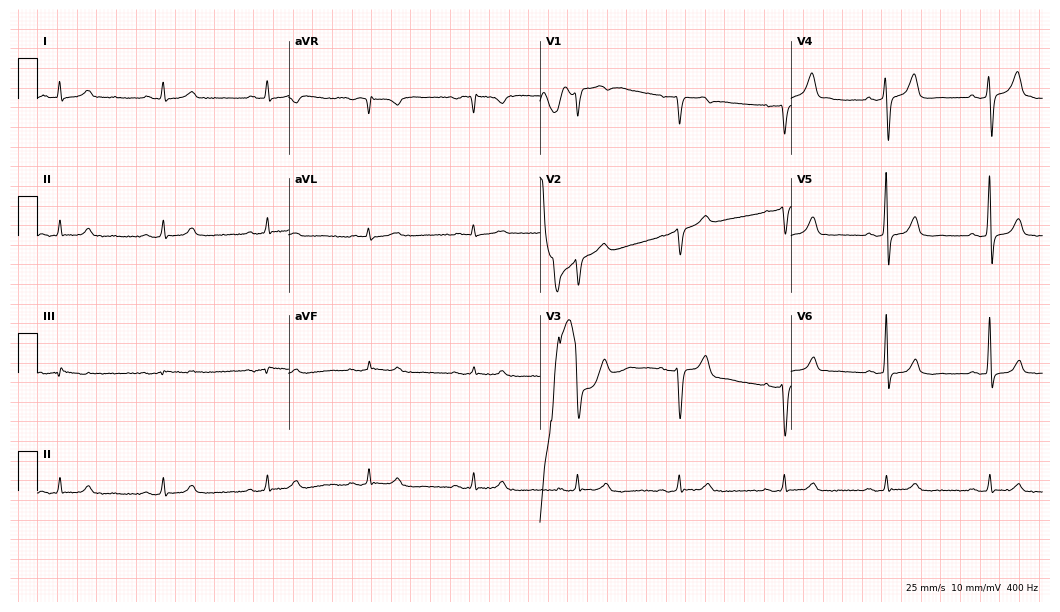
Standard 12-lead ECG recorded from a male patient, 53 years old. Read as a normal ECG.